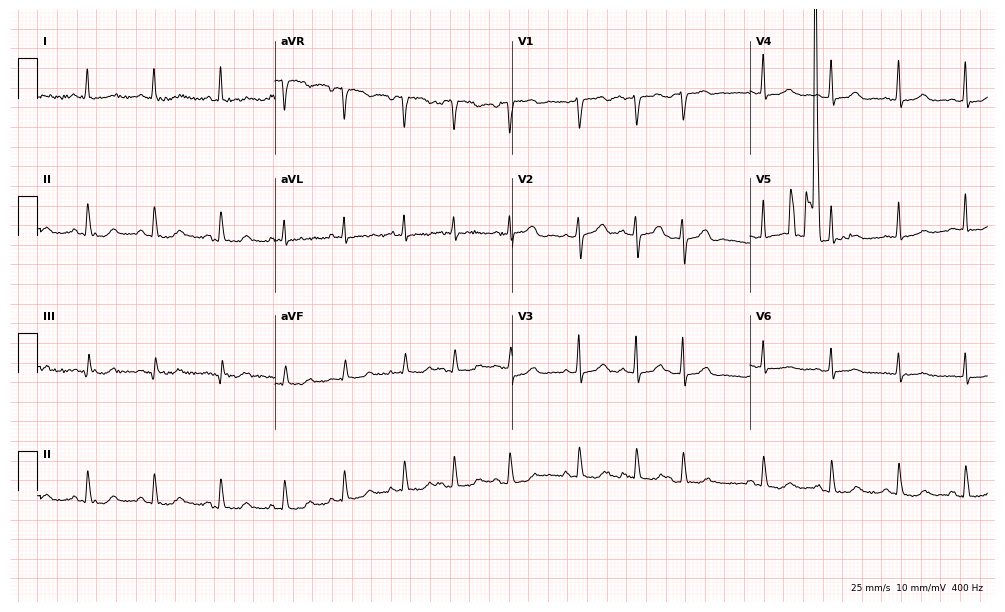
ECG — a 63-year-old woman. Screened for six findings — first-degree AV block, right bundle branch block (RBBB), left bundle branch block (LBBB), sinus bradycardia, atrial fibrillation (AF), sinus tachycardia — none is recorded. Findings outside these six are not listed.